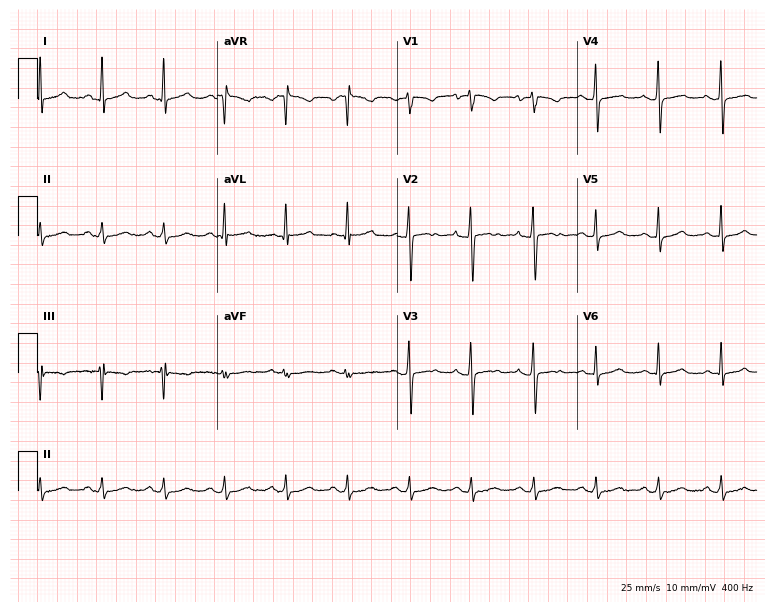
Electrocardiogram (7.3-second recording at 400 Hz), a 57-year-old female. Of the six screened findings (first-degree AV block, right bundle branch block, left bundle branch block, sinus bradycardia, atrial fibrillation, sinus tachycardia), none is recorded.